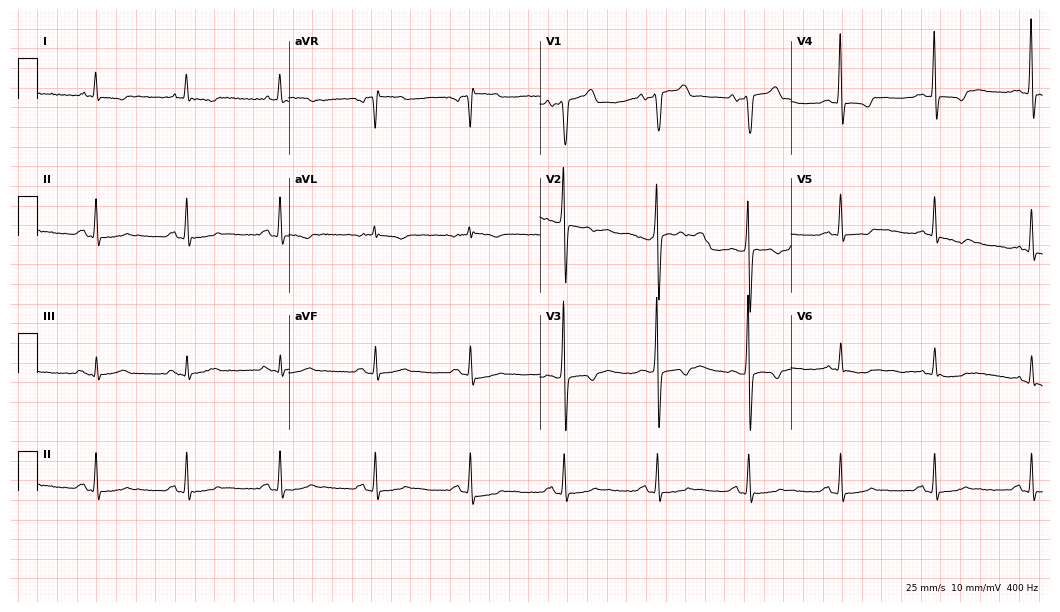
12-lead ECG from a 73-year-old male (10.2-second recording at 400 Hz). No first-degree AV block, right bundle branch block, left bundle branch block, sinus bradycardia, atrial fibrillation or sinus tachycardia recorded for this tracing.